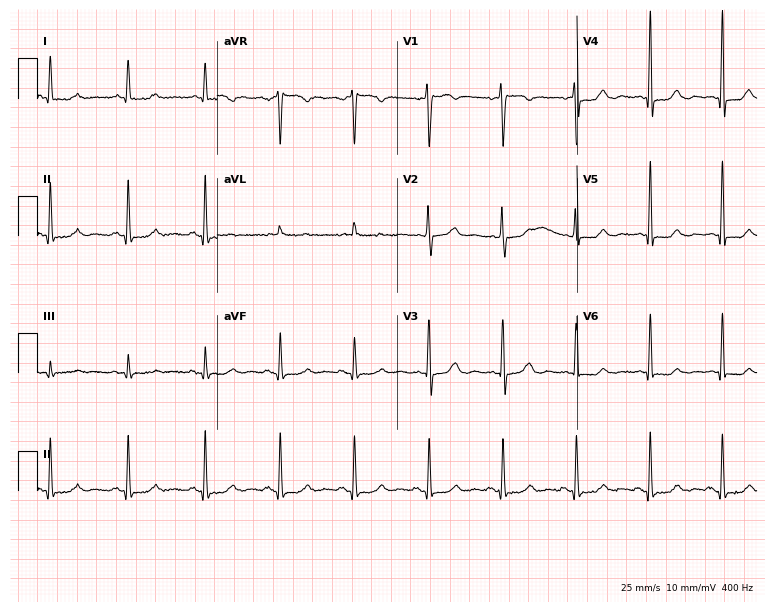
Electrocardiogram, a 50-year-old male. Of the six screened findings (first-degree AV block, right bundle branch block, left bundle branch block, sinus bradycardia, atrial fibrillation, sinus tachycardia), none is recorded. Only these six findings were labelled.